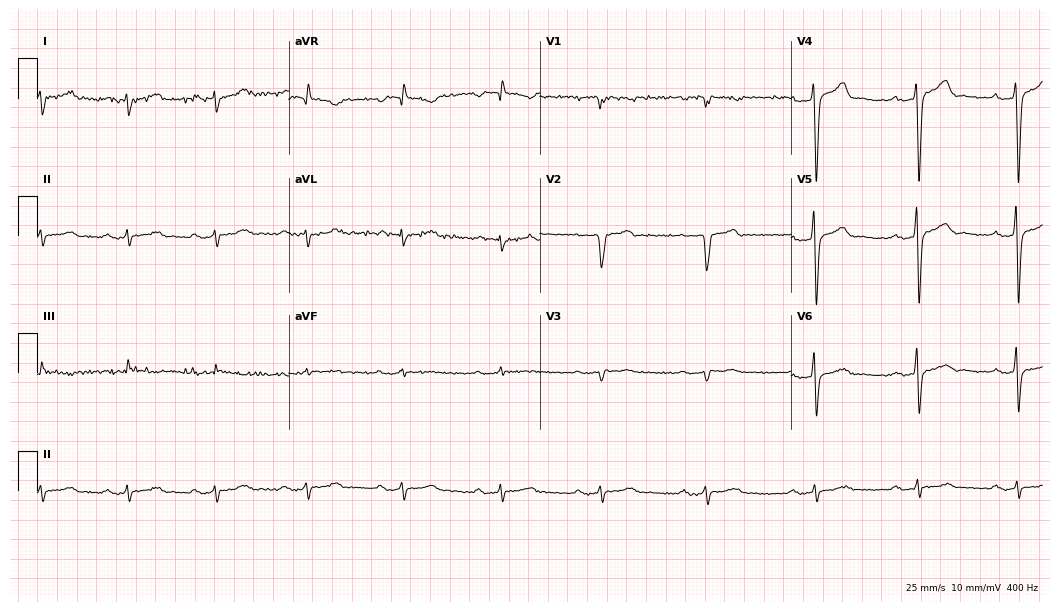
Standard 12-lead ECG recorded from a 46-year-old male patient. None of these six findings is recorded: first-degree AV block, right bundle branch block, left bundle branch block, sinus bradycardia, atrial fibrillation, sinus tachycardia.